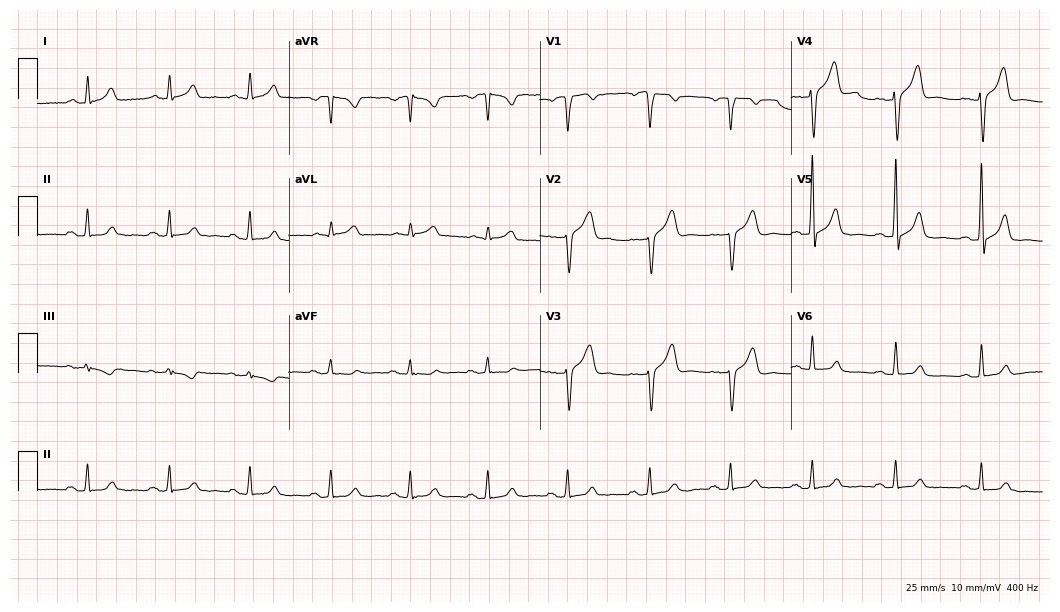
Standard 12-lead ECG recorded from a 38-year-old male patient. None of these six findings is recorded: first-degree AV block, right bundle branch block, left bundle branch block, sinus bradycardia, atrial fibrillation, sinus tachycardia. Other findings, if any, are not listed.